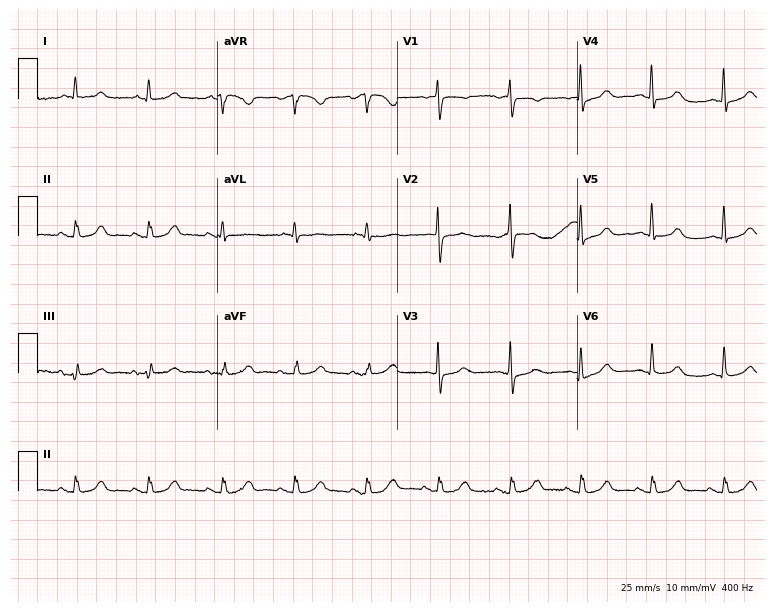
ECG — a female patient, 76 years old. Labelled as a normal ECG.